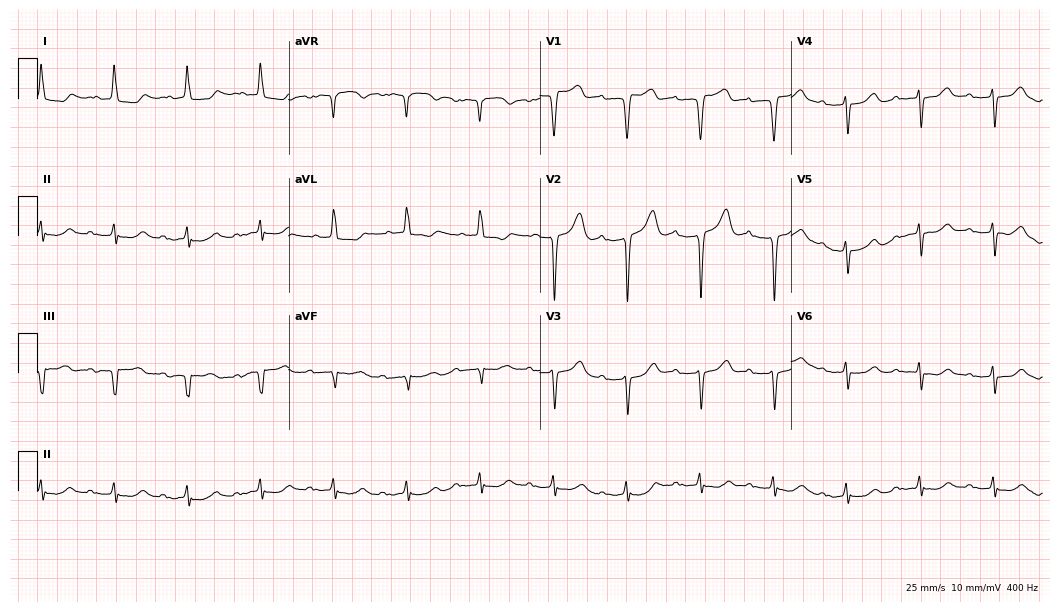
Resting 12-lead electrocardiogram (10.2-second recording at 400 Hz). Patient: an 84-year-old female. The tracing shows first-degree AV block.